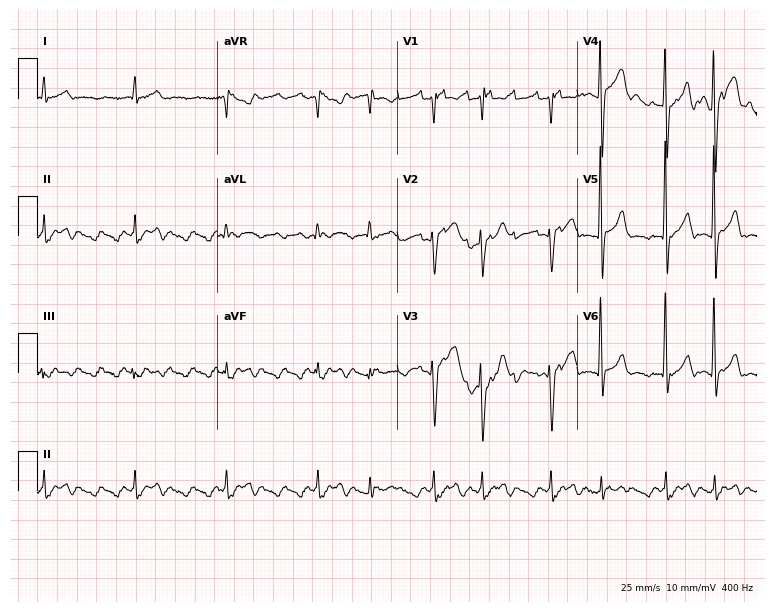
Resting 12-lead electrocardiogram. Patient: a 72-year-old male. None of these six findings is recorded: first-degree AV block, right bundle branch block, left bundle branch block, sinus bradycardia, atrial fibrillation, sinus tachycardia.